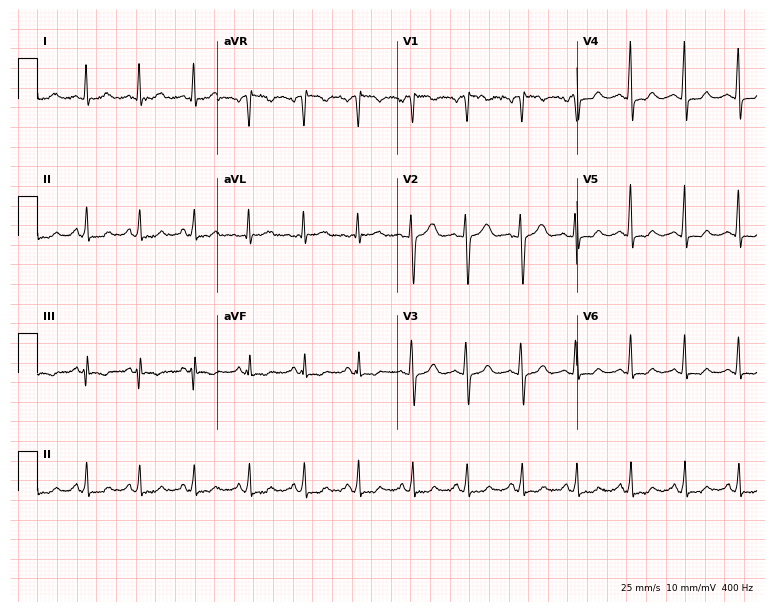
12-lead ECG from a 50-year-old female patient (7.3-second recording at 400 Hz). Shows sinus tachycardia (a sinus rate of 100 beats per minute or more).